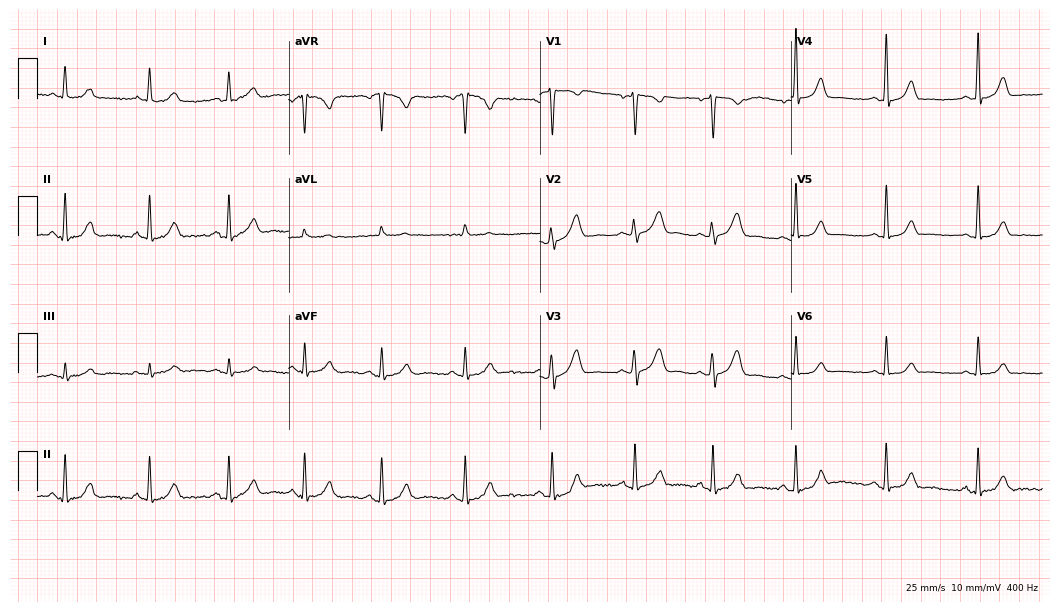
Electrocardiogram (10.2-second recording at 400 Hz), a female, 42 years old. Of the six screened findings (first-degree AV block, right bundle branch block, left bundle branch block, sinus bradycardia, atrial fibrillation, sinus tachycardia), none is recorded.